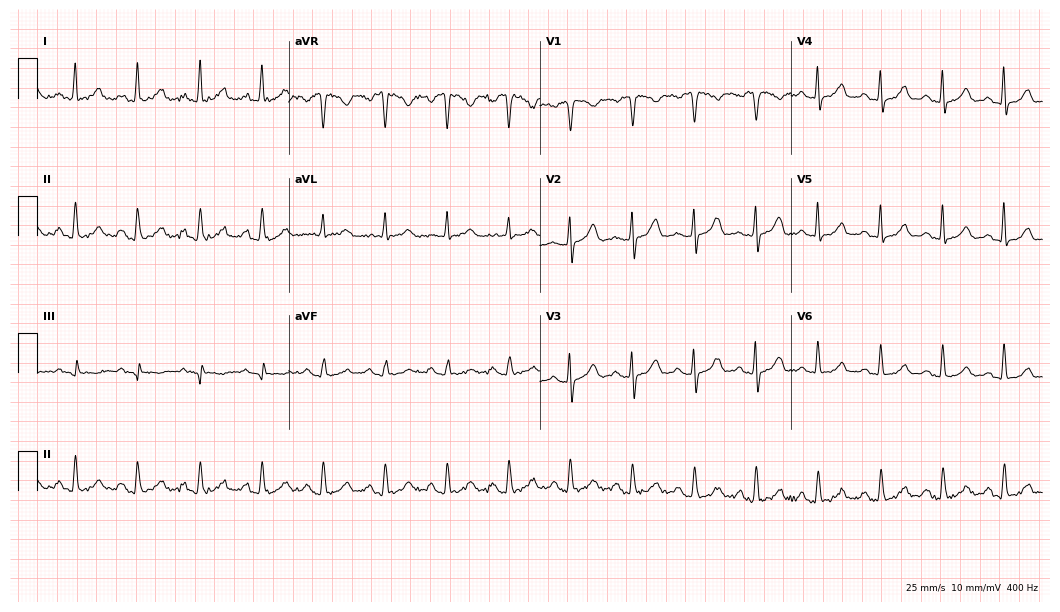
12-lead ECG from a 43-year-old female patient. No first-degree AV block, right bundle branch block (RBBB), left bundle branch block (LBBB), sinus bradycardia, atrial fibrillation (AF) or sinus tachycardia recorded for this tracing. Findings outside these six are not listed.